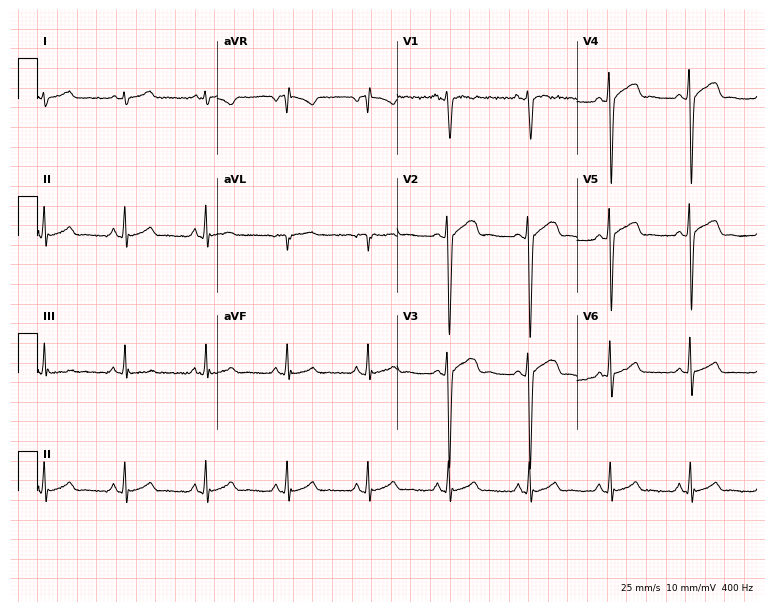
Electrocardiogram, a 20-year-old man. Overall reading on record: normal ECG.